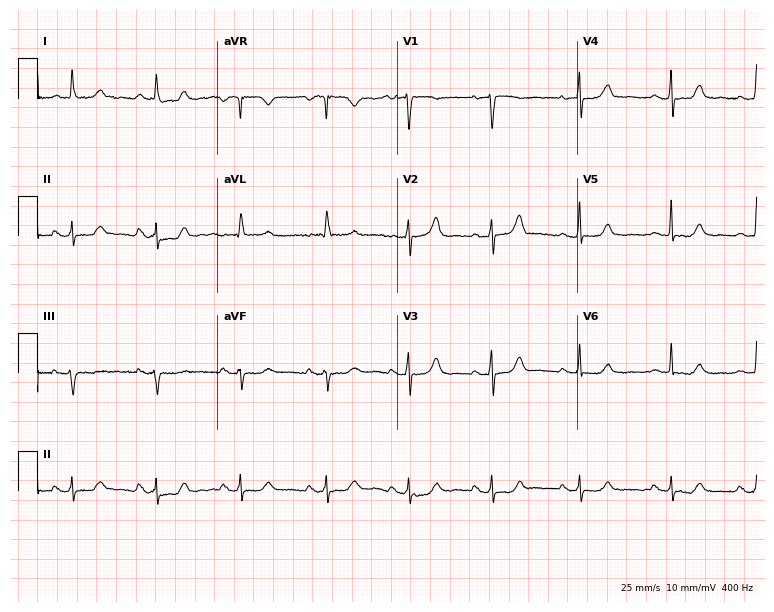
12-lead ECG (7.3-second recording at 400 Hz) from a woman, 76 years old. Labelled as a normal ECG.